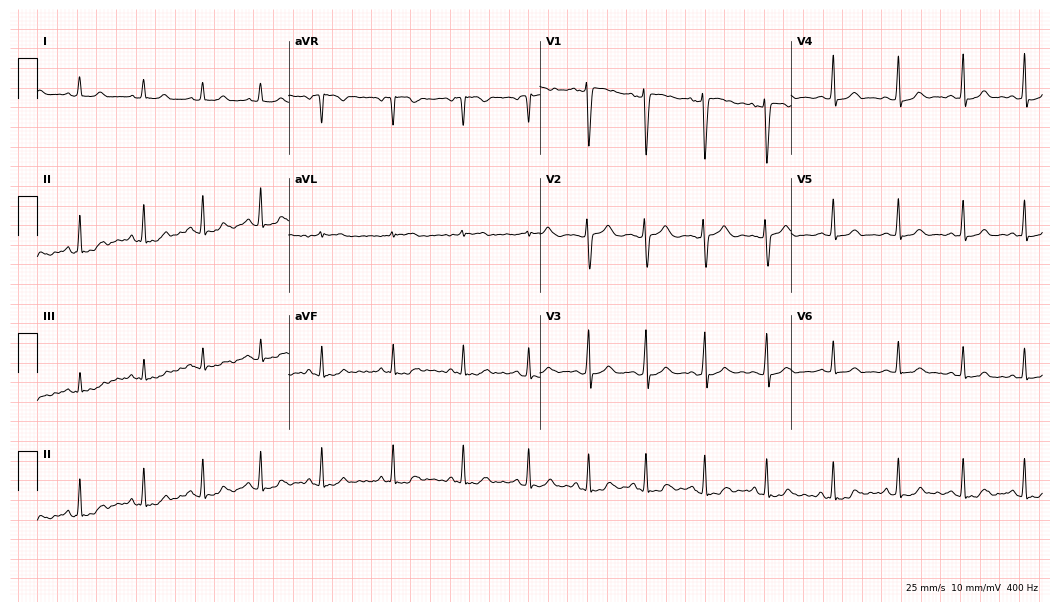
12-lead ECG from a female, 20 years old (10.2-second recording at 400 Hz). Recorded interpretation: within normal limits.